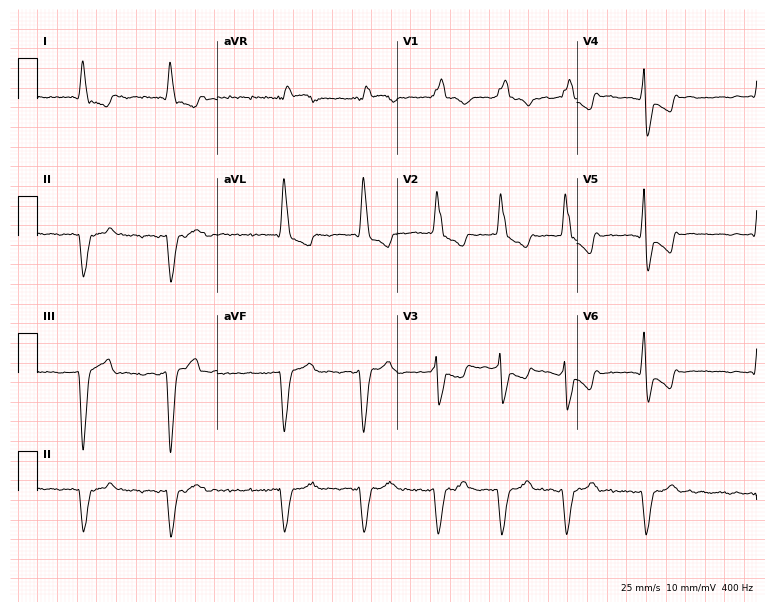
Standard 12-lead ECG recorded from a male patient, 68 years old (7.3-second recording at 400 Hz). The tracing shows right bundle branch block, atrial fibrillation.